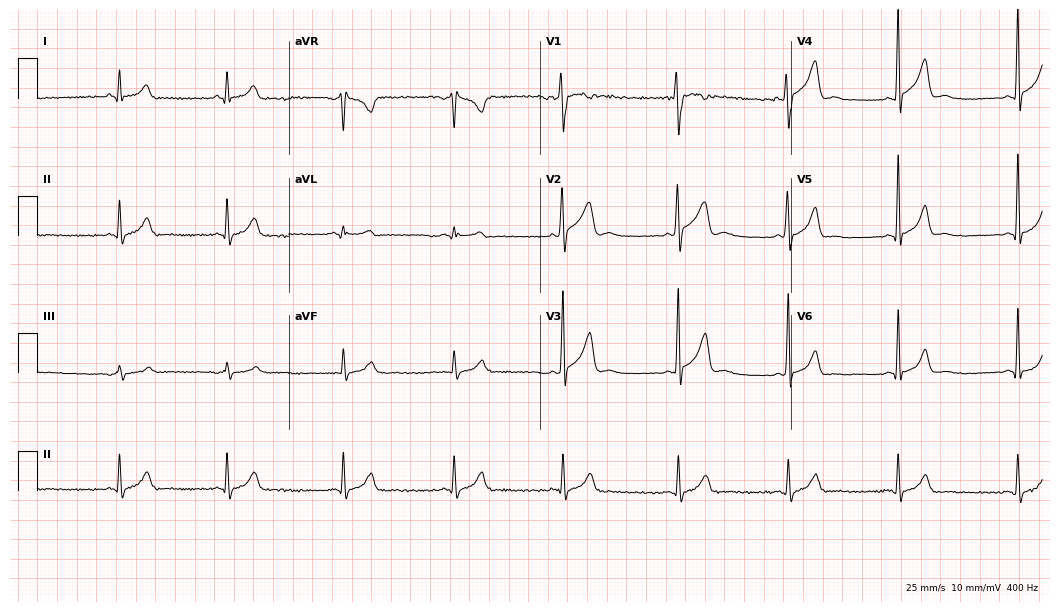
Electrocardiogram (10.2-second recording at 400 Hz), a male patient, 34 years old. Of the six screened findings (first-degree AV block, right bundle branch block, left bundle branch block, sinus bradycardia, atrial fibrillation, sinus tachycardia), none is recorded.